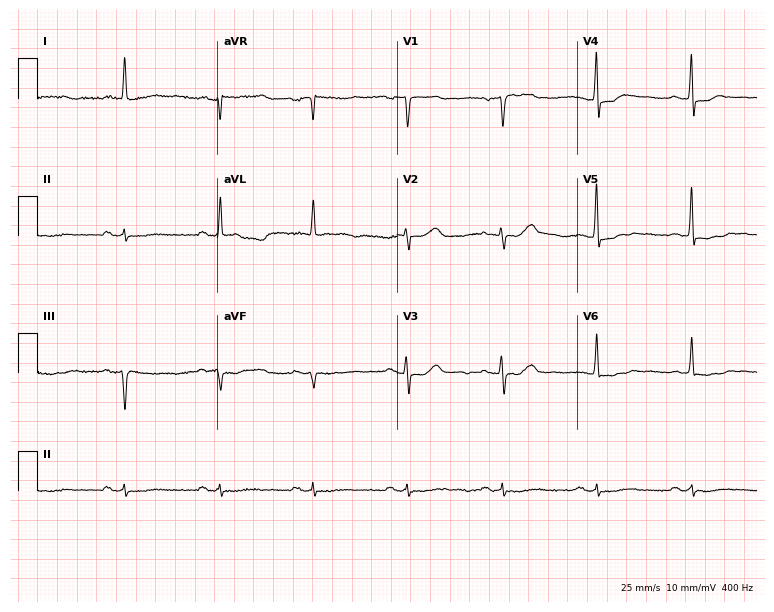
12-lead ECG from an 82-year-old male patient. No first-degree AV block, right bundle branch block, left bundle branch block, sinus bradycardia, atrial fibrillation or sinus tachycardia recorded for this tracing. Other findings, if any, are not listed.